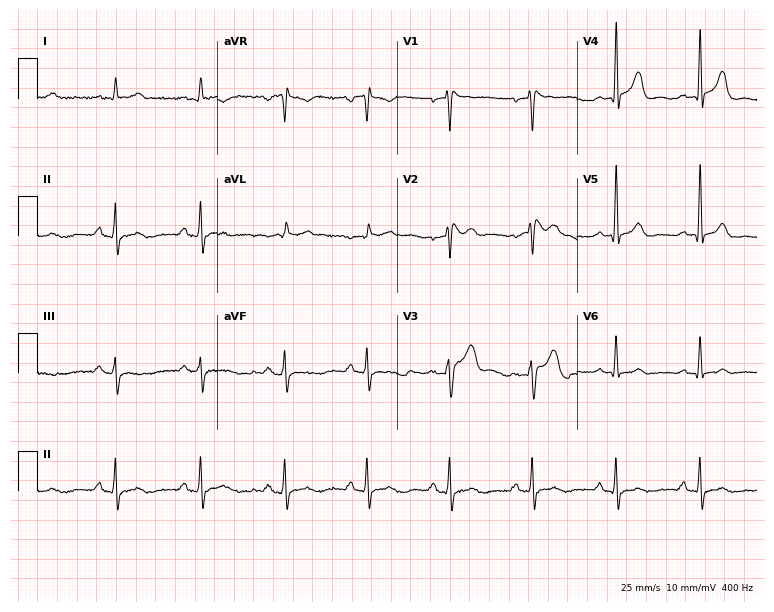
Standard 12-lead ECG recorded from a male patient, 50 years old. None of these six findings is recorded: first-degree AV block, right bundle branch block, left bundle branch block, sinus bradycardia, atrial fibrillation, sinus tachycardia. Only these six findings were labelled.